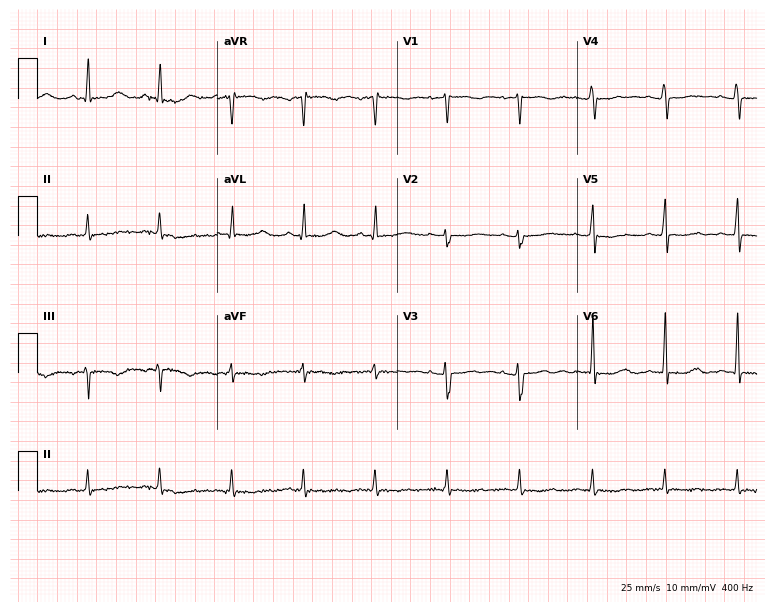
Resting 12-lead electrocardiogram. Patient: a 36-year-old female. None of these six findings is recorded: first-degree AV block, right bundle branch block, left bundle branch block, sinus bradycardia, atrial fibrillation, sinus tachycardia.